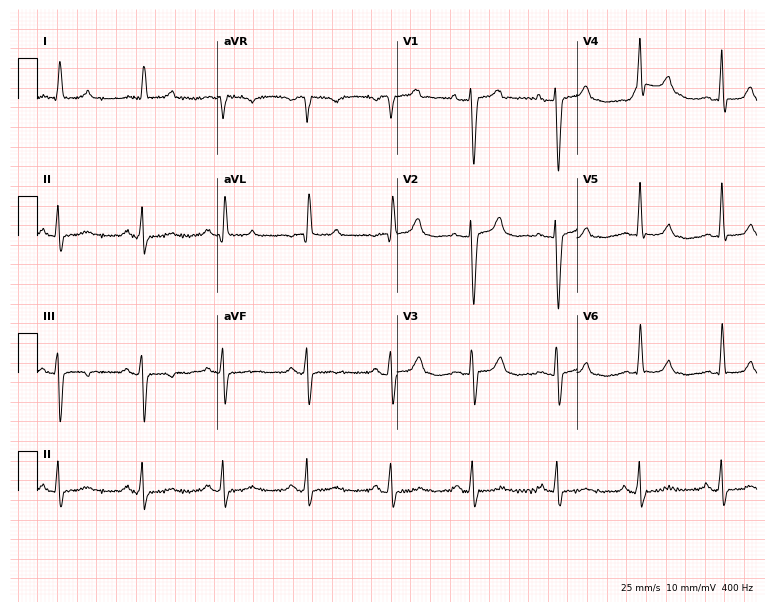
Electrocardiogram (7.3-second recording at 400 Hz), a 66-year-old woman. Of the six screened findings (first-degree AV block, right bundle branch block (RBBB), left bundle branch block (LBBB), sinus bradycardia, atrial fibrillation (AF), sinus tachycardia), none is recorded.